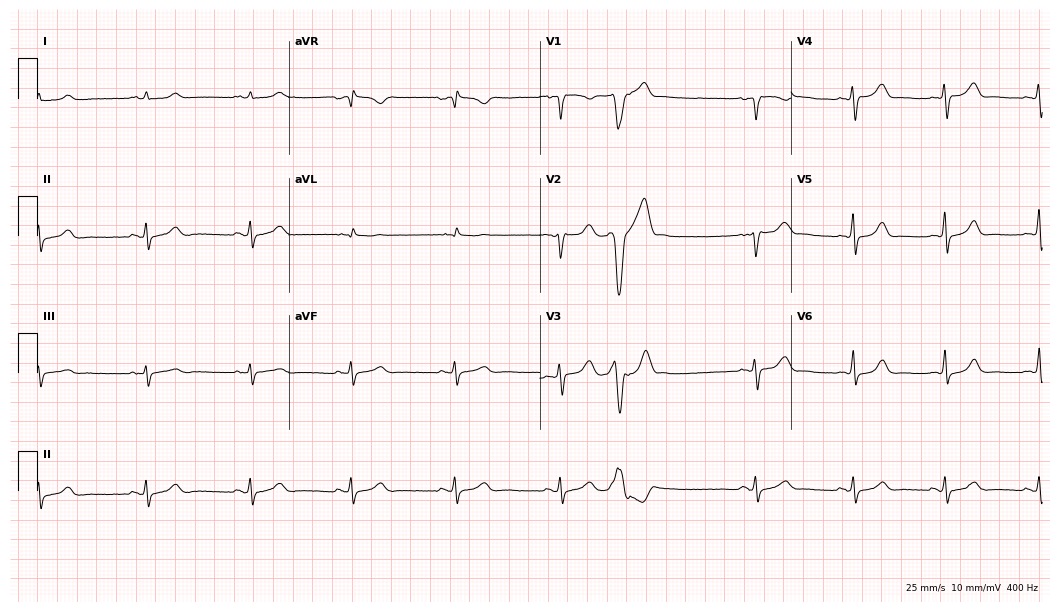
Electrocardiogram, a woman, 45 years old. Overall reading on record: normal ECG.